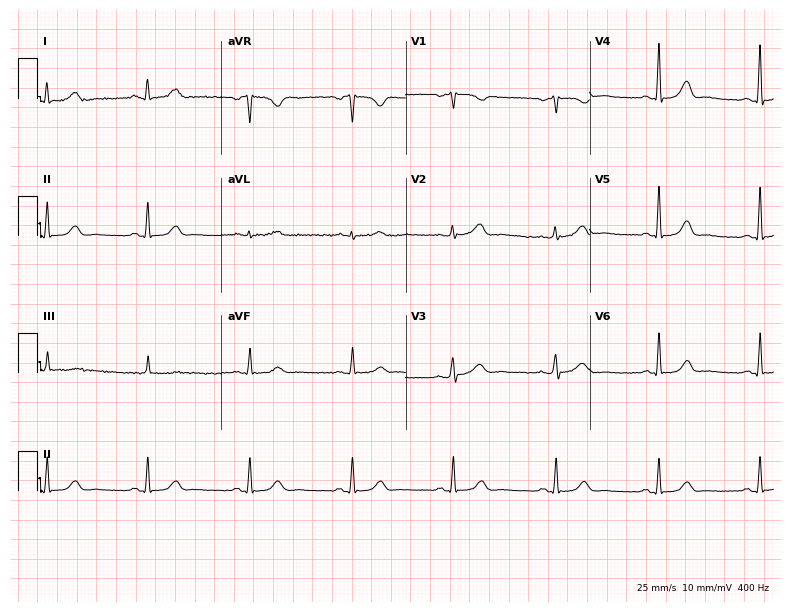
Standard 12-lead ECG recorded from a 60-year-old female (7.5-second recording at 400 Hz). Read as a normal ECG.